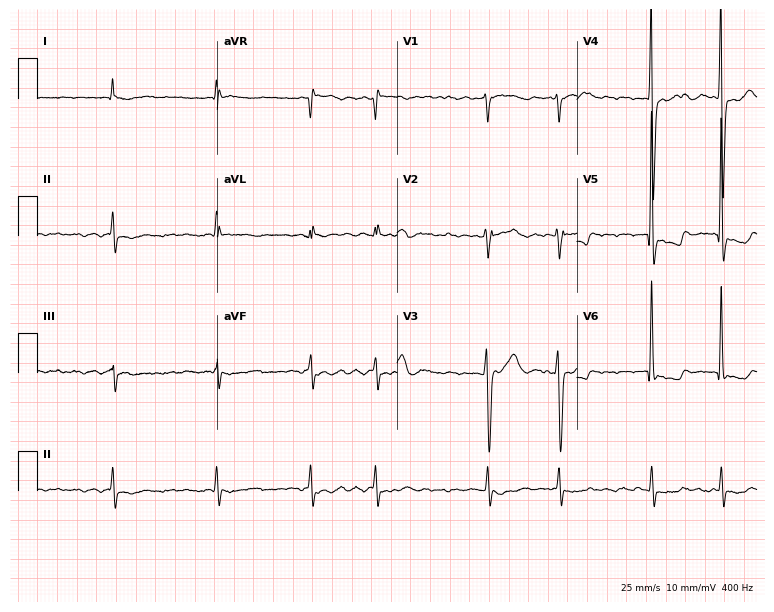
Electrocardiogram (7.3-second recording at 400 Hz), an 82-year-old female patient. Interpretation includes atrial fibrillation (AF).